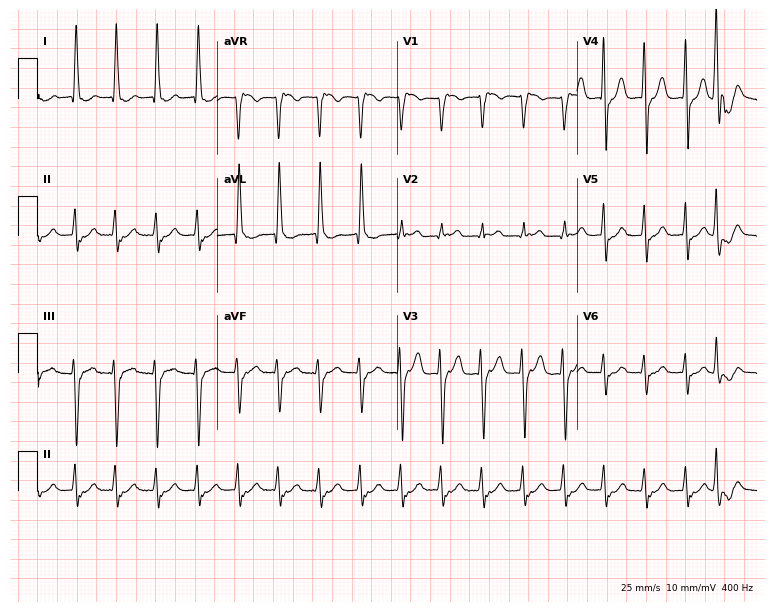
Electrocardiogram, an 83-year-old man. Of the six screened findings (first-degree AV block, right bundle branch block, left bundle branch block, sinus bradycardia, atrial fibrillation, sinus tachycardia), none is recorded.